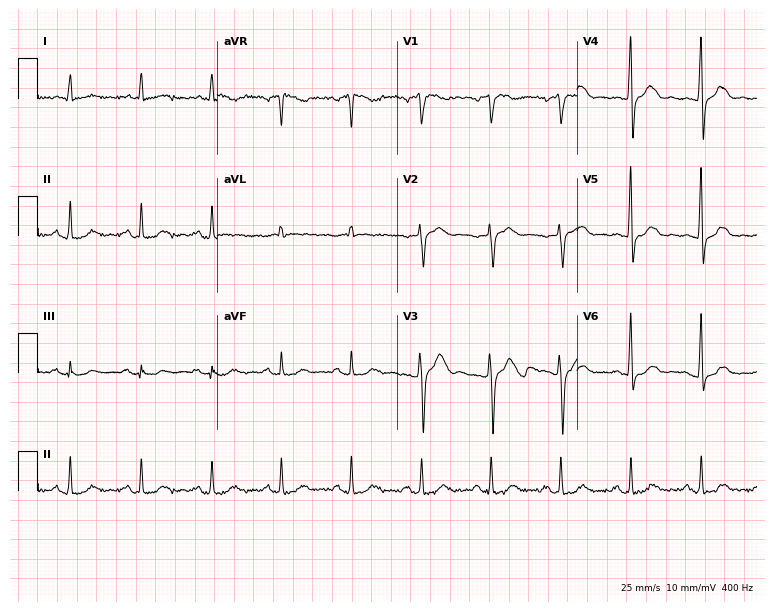
12-lead ECG (7.3-second recording at 400 Hz) from a 67-year-old male. Labelled as a normal ECG.